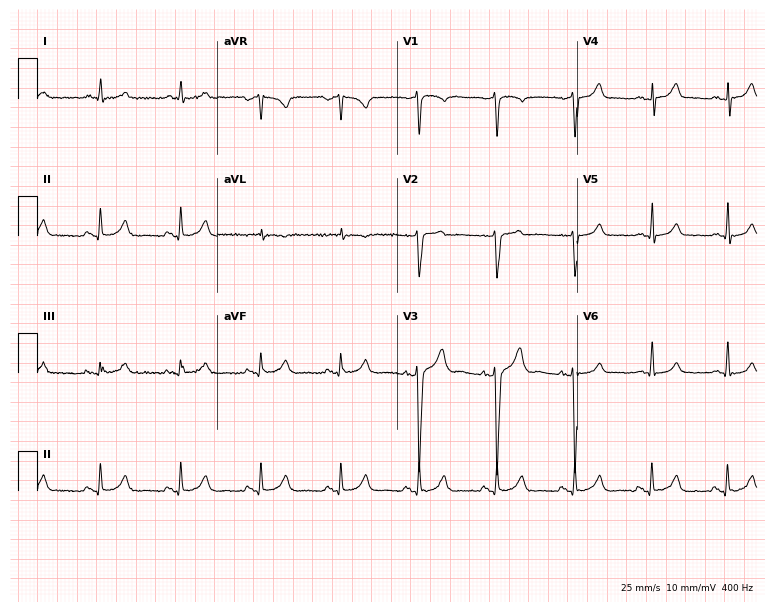
12-lead ECG from a 56-year-old male patient. Labelled as a normal ECG.